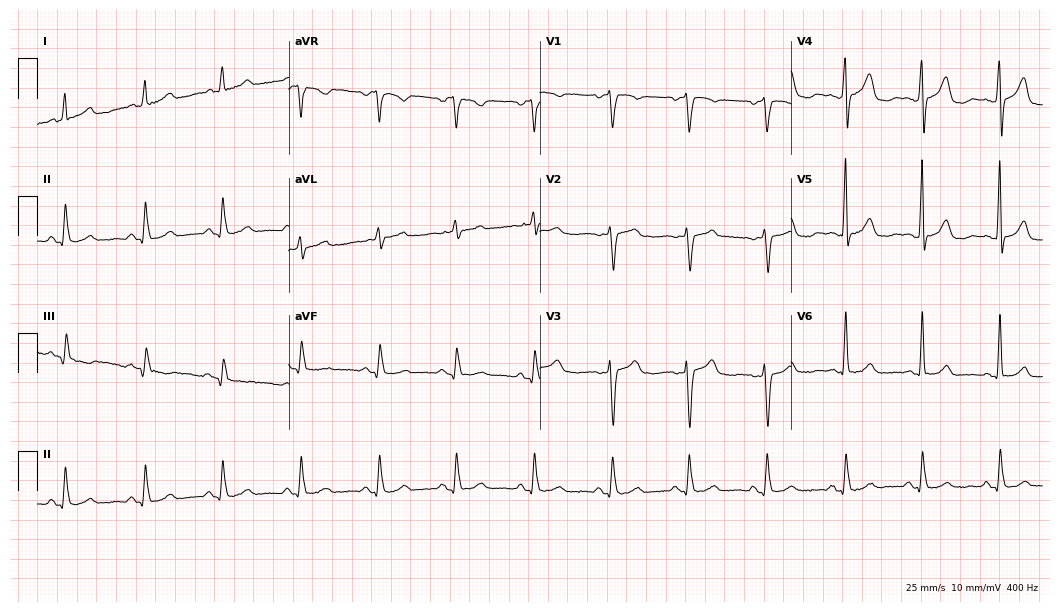
12-lead ECG from a female patient, 54 years old (10.2-second recording at 400 Hz). Recorded interpretation: within normal limits.